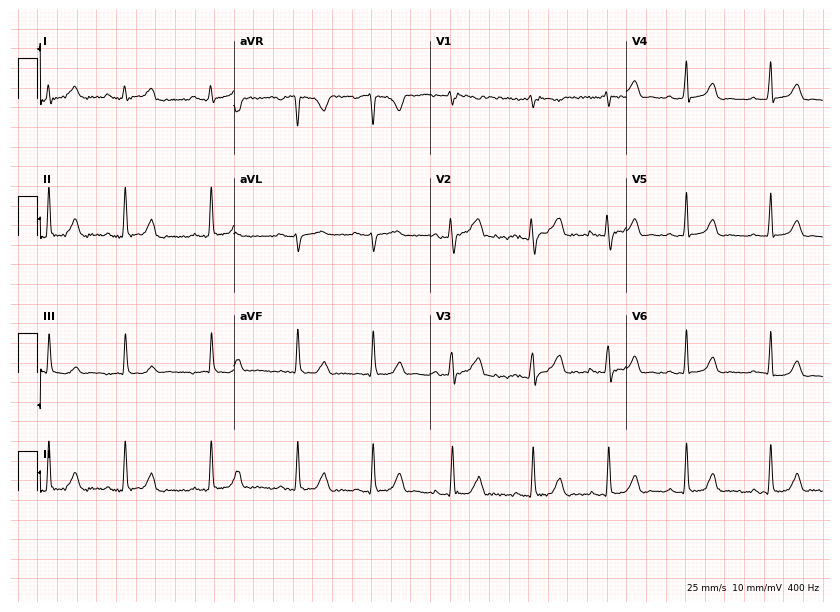
12-lead ECG from a 25-year-old woman (8-second recording at 400 Hz). No first-degree AV block, right bundle branch block (RBBB), left bundle branch block (LBBB), sinus bradycardia, atrial fibrillation (AF) or sinus tachycardia recorded for this tracing.